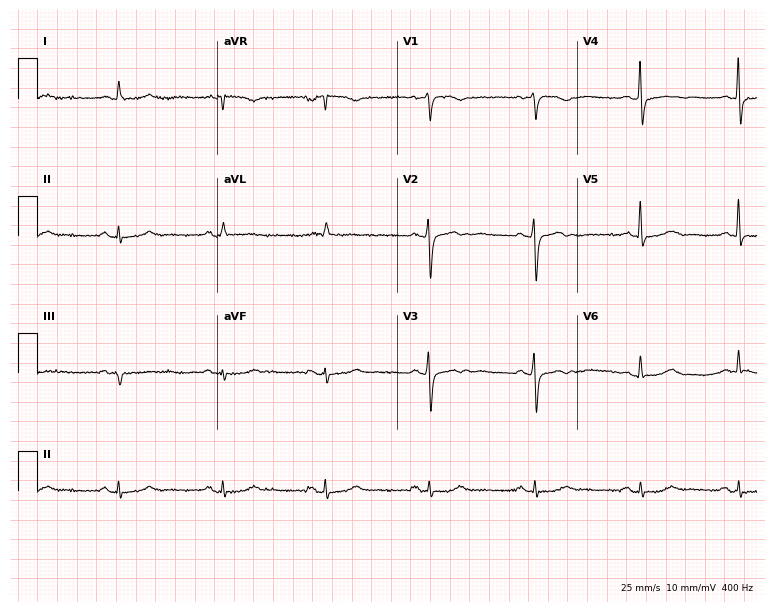
Standard 12-lead ECG recorded from a female patient, 72 years old (7.3-second recording at 400 Hz). None of these six findings is recorded: first-degree AV block, right bundle branch block, left bundle branch block, sinus bradycardia, atrial fibrillation, sinus tachycardia.